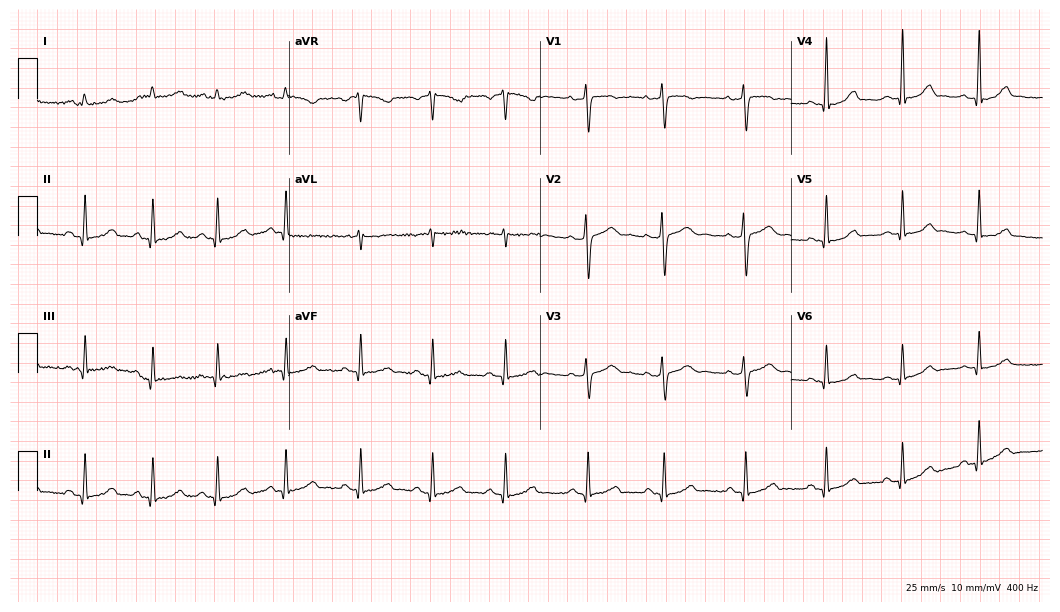
12-lead ECG (10.2-second recording at 400 Hz) from a 33-year-old female. Labelled as a normal ECG.